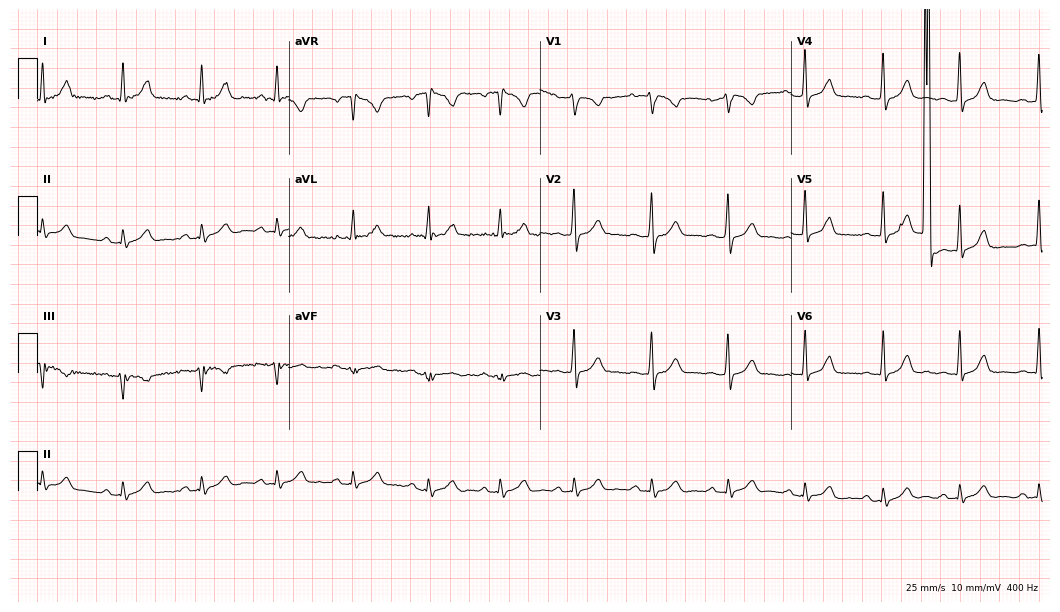
Resting 12-lead electrocardiogram. Patient: a female, 33 years old. None of these six findings is recorded: first-degree AV block, right bundle branch block, left bundle branch block, sinus bradycardia, atrial fibrillation, sinus tachycardia.